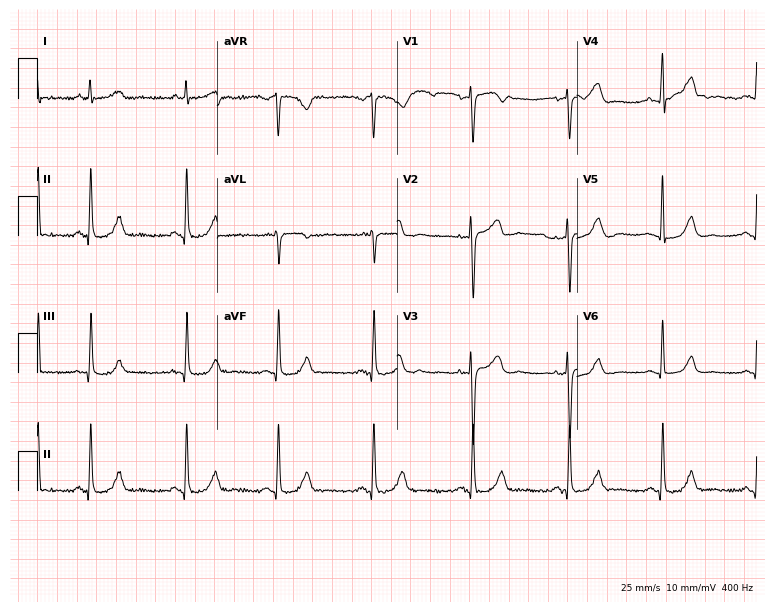
12-lead ECG from a 46-year-old woman (7.3-second recording at 400 Hz). Recorded interpretation: within normal limits.